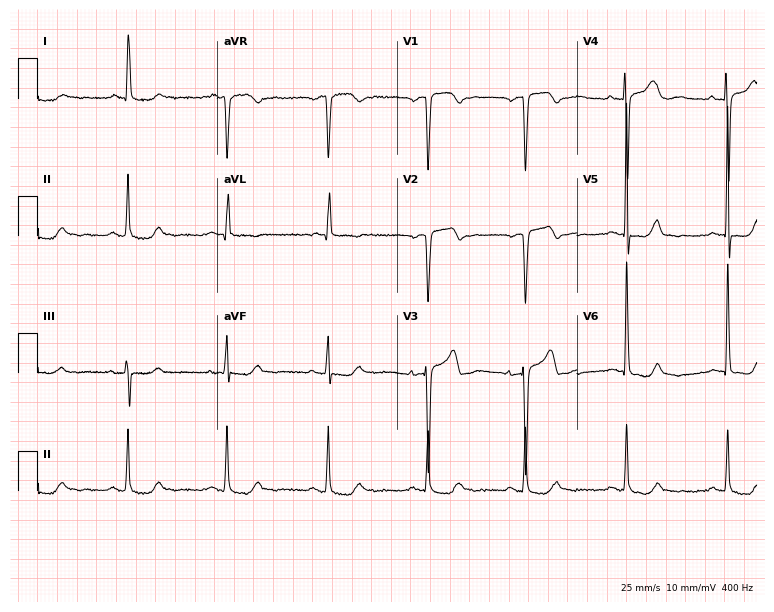
Electrocardiogram, an 82-year-old female. Of the six screened findings (first-degree AV block, right bundle branch block, left bundle branch block, sinus bradycardia, atrial fibrillation, sinus tachycardia), none is recorded. Other findings, if any, are not listed.